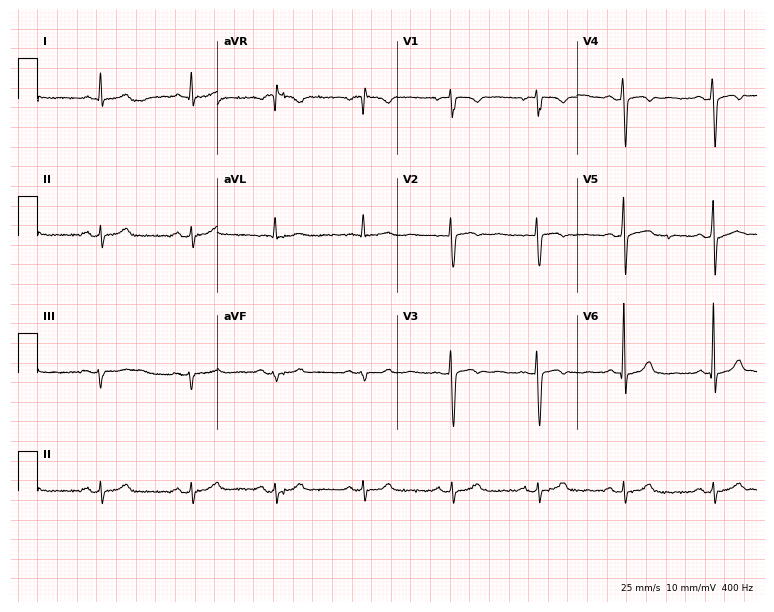
12-lead ECG from a 42-year-old female patient. Screened for six findings — first-degree AV block, right bundle branch block, left bundle branch block, sinus bradycardia, atrial fibrillation, sinus tachycardia — none is recorded. Only these six findings were labelled.